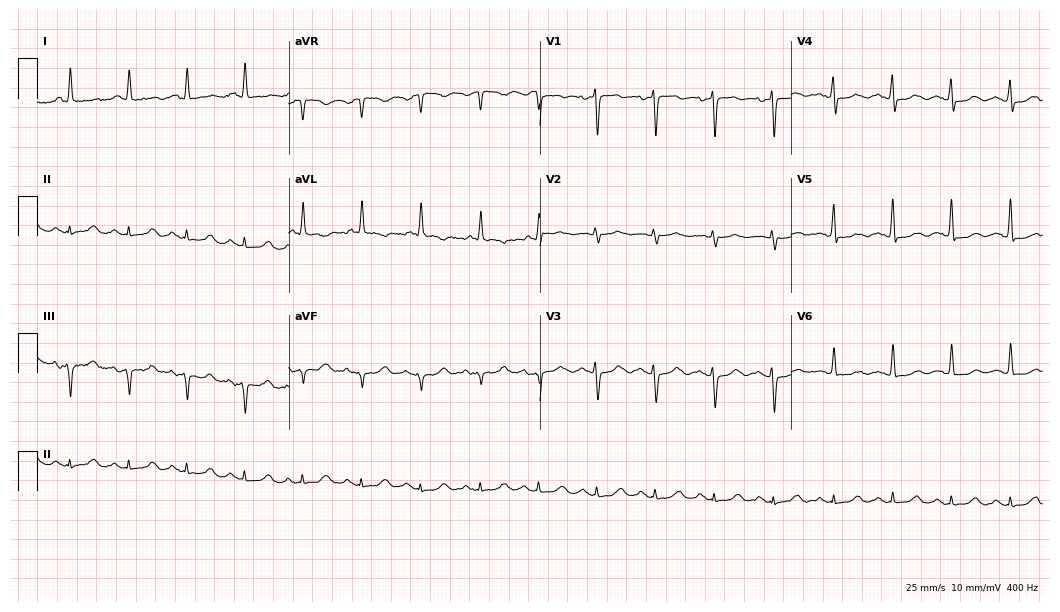
ECG — an 84-year-old woman. Screened for six findings — first-degree AV block, right bundle branch block (RBBB), left bundle branch block (LBBB), sinus bradycardia, atrial fibrillation (AF), sinus tachycardia — none is recorded.